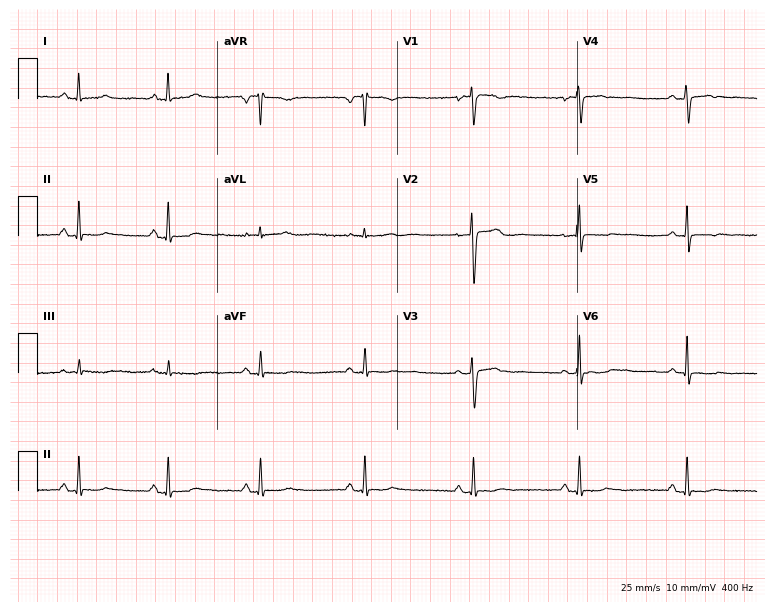
Standard 12-lead ECG recorded from a 37-year-old woman. None of these six findings is recorded: first-degree AV block, right bundle branch block, left bundle branch block, sinus bradycardia, atrial fibrillation, sinus tachycardia.